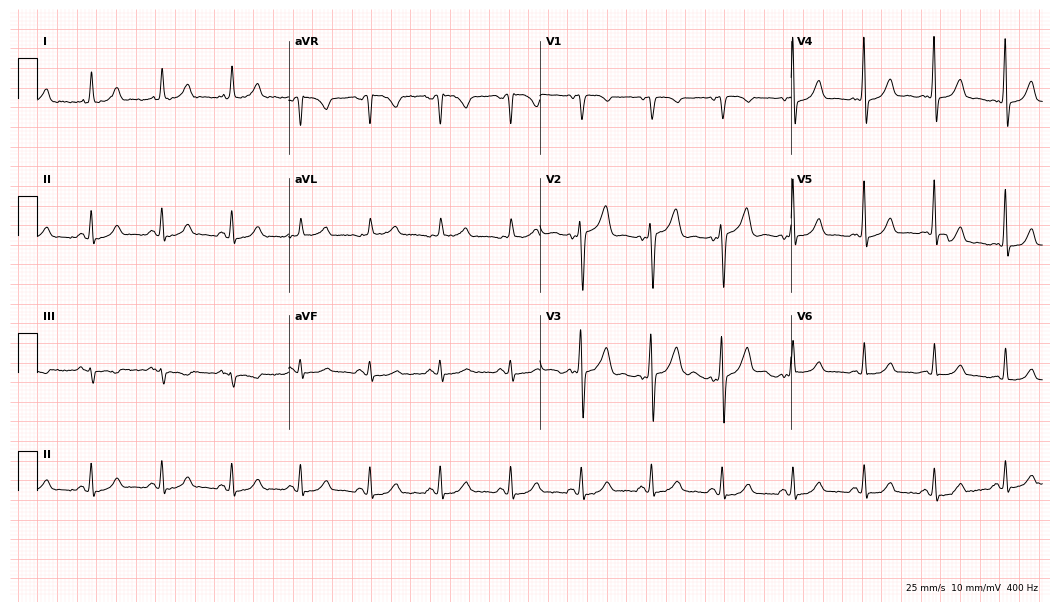
12-lead ECG from a female patient, 67 years old. Recorded interpretation: within normal limits.